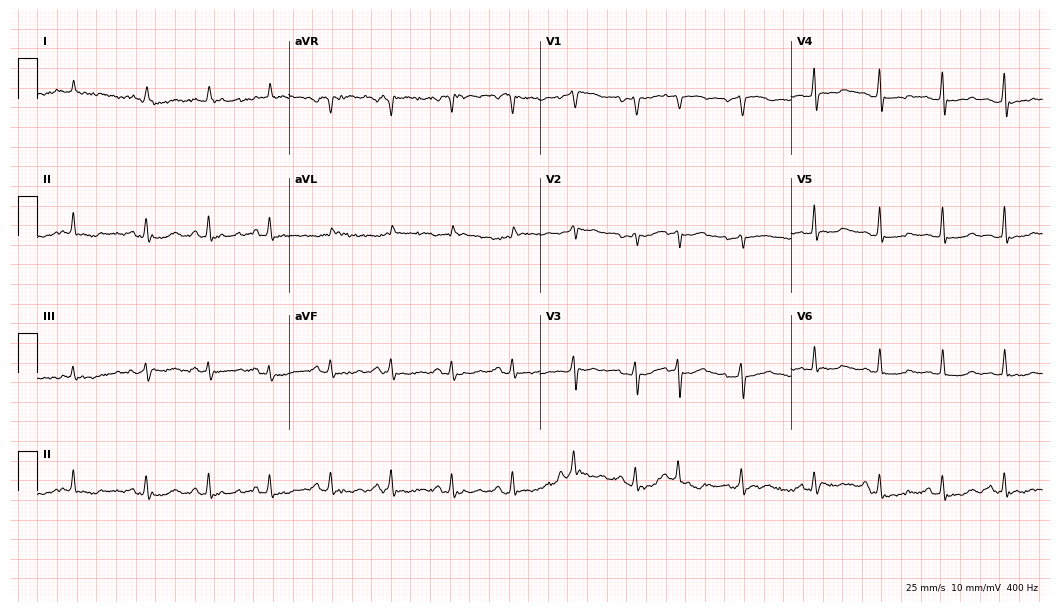
Electrocardiogram (10.2-second recording at 400 Hz), a male, 76 years old. Of the six screened findings (first-degree AV block, right bundle branch block, left bundle branch block, sinus bradycardia, atrial fibrillation, sinus tachycardia), none is recorded. Only these six findings were labelled.